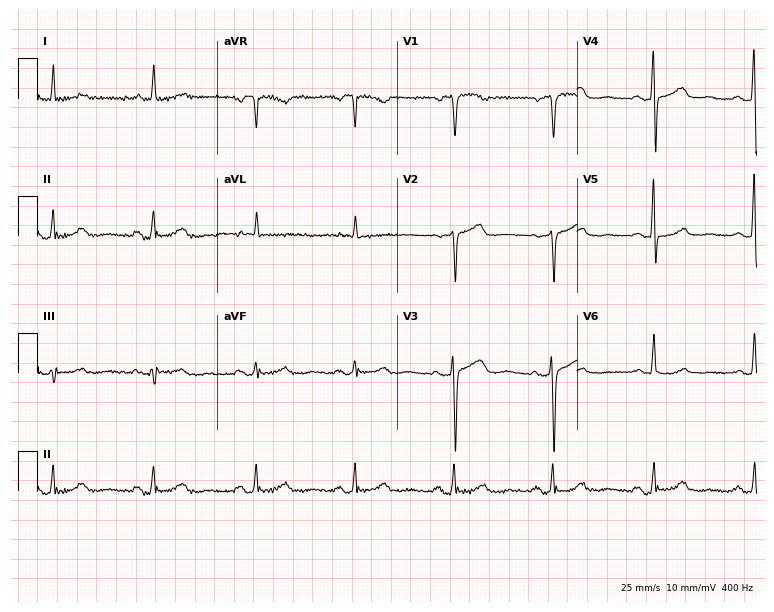
Standard 12-lead ECG recorded from a female, 61 years old. None of these six findings is recorded: first-degree AV block, right bundle branch block, left bundle branch block, sinus bradycardia, atrial fibrillation, sinus tachycardia. Findings outside these six are not listed.